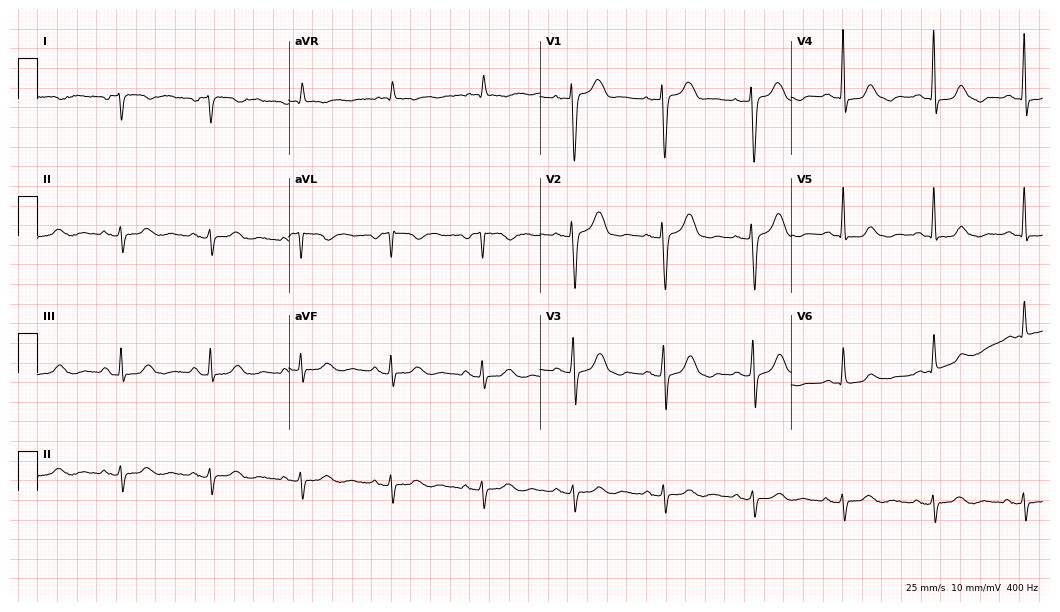
12-lead ECG from a woman, 84 years old (10.2-second recording at 400 Hz). No first-degree AV block, right bundle branch block, left bundle branch block, sinus bradycardia, atrial fibrillation or sinus tachycardia recorded for this tracing.